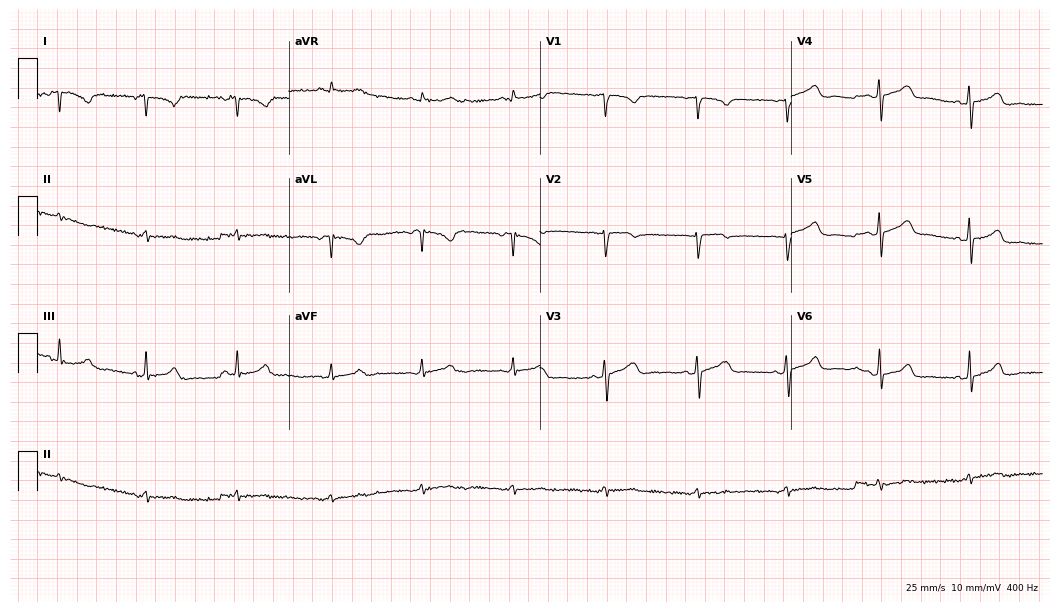
Standard 12-lead ECG recorded from a woman, 26 years old. None of these six findings is recorded: first-degree AV block, right bundle branch block (RBBB), left bundle branch block (LBBB), sinus bradycardia, atrial fibrillation (AF), sinus tachycardia. Only these six findings were labelled.